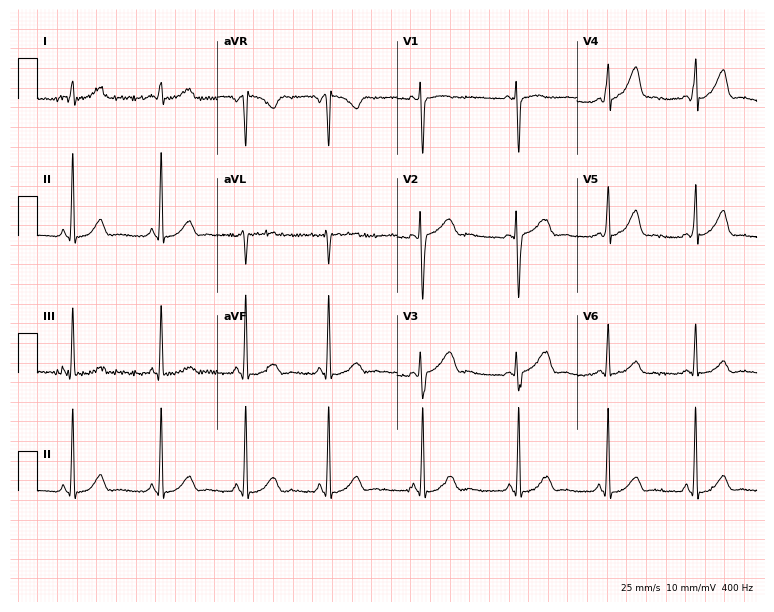
Standard 12-lead ECG recorded from a 17-year-old woman. None of these six findings is recorded: first-degree AV block, right bundle branch block (RBBB), left bundle branch block (LBBB), sinus bradycardia, atrial fibrillation (AF), sinus tachycardia.